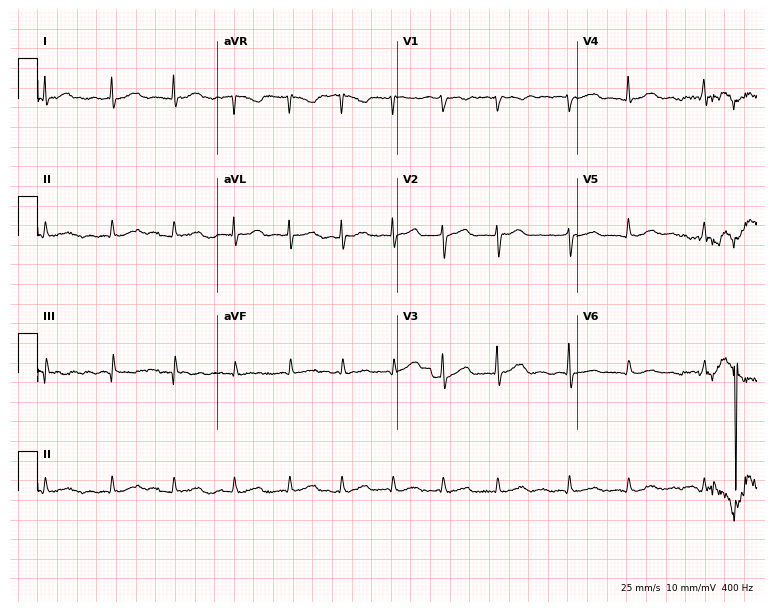
Resting 12-lead electrocardiogram. Patient: a female, 82 years old. The tracing shows atrial fibrillation.